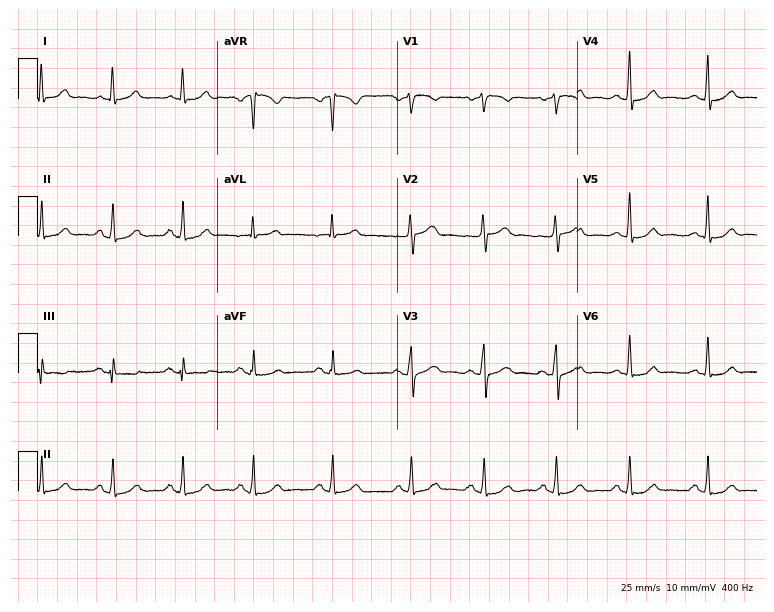
Standard 12-lead ECG recorded from a female patient, 52 years old. None of these six findings is recorded: first-degree AV block, right bundle branch block (RBBB), left bundle branch block (LBBB), sinus bradycardia, atrial fibrillation (AF), sinus tachycardia. Only these six findings were labelled.